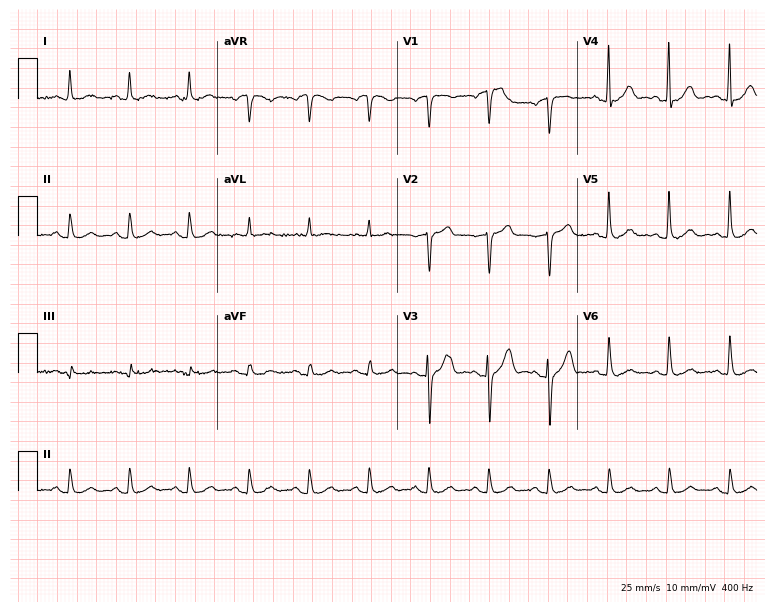
12-lead ECG from a male patient, 65 years old. No first-degree AV block, right bundle branch block (RBBB), left bundle branch block (LBBB), sinus bradycardia, atrial fibrillation (AF) or sinus tachycardia recorded for this tracing.